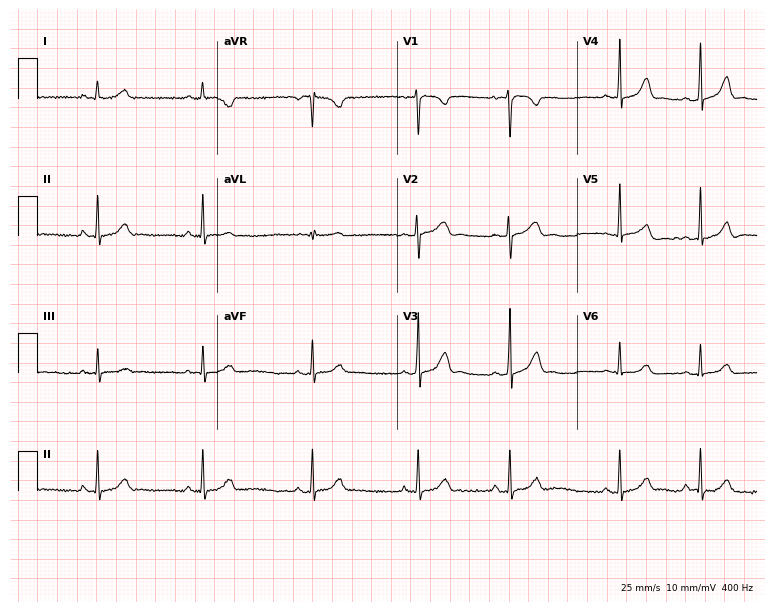
12-lead ECG from a 17-year-old woman (7.3-second recording at 400 Hz). Recorded interpretation: within normal limits.